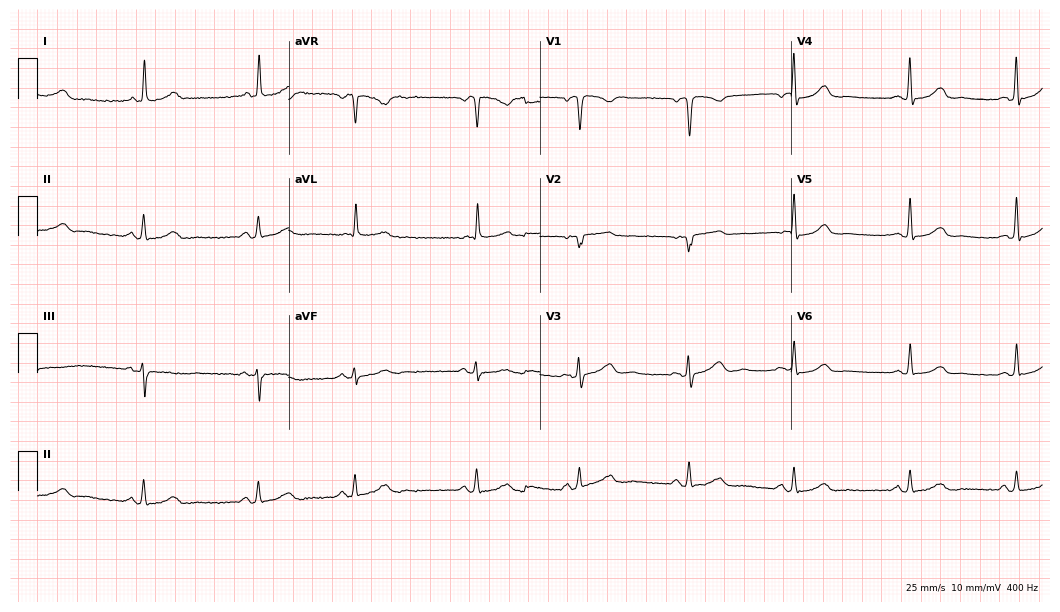
Electrocardiogram (10.2-second recording at 400 Hz), a 36-year-old woman. Overall reading on record: normal ECG.